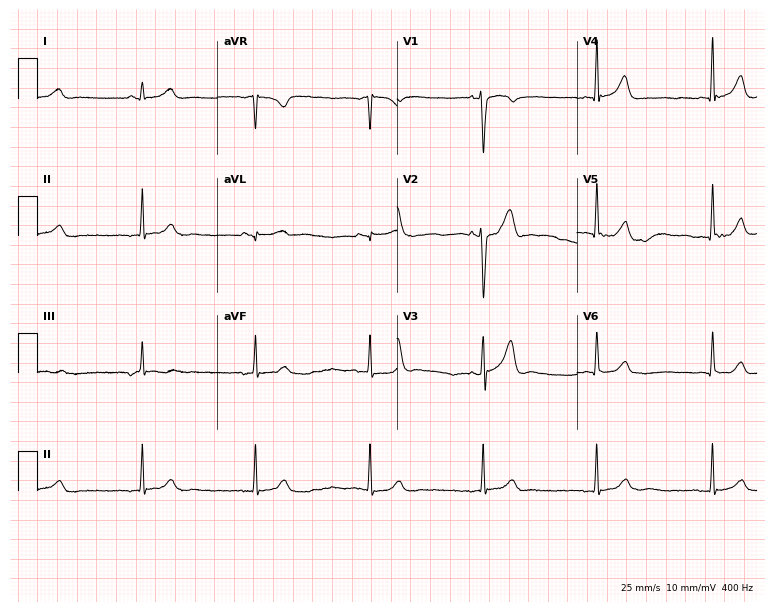
ECG (7.3-second recording at 400 Hz) — a 33-year-old man. Screened for six findings — first-degree AV block, right bundle branch block, left bundle branch block, sinus bradycardia, atrial fibrillation, sinus tachycardia — none is recorded.